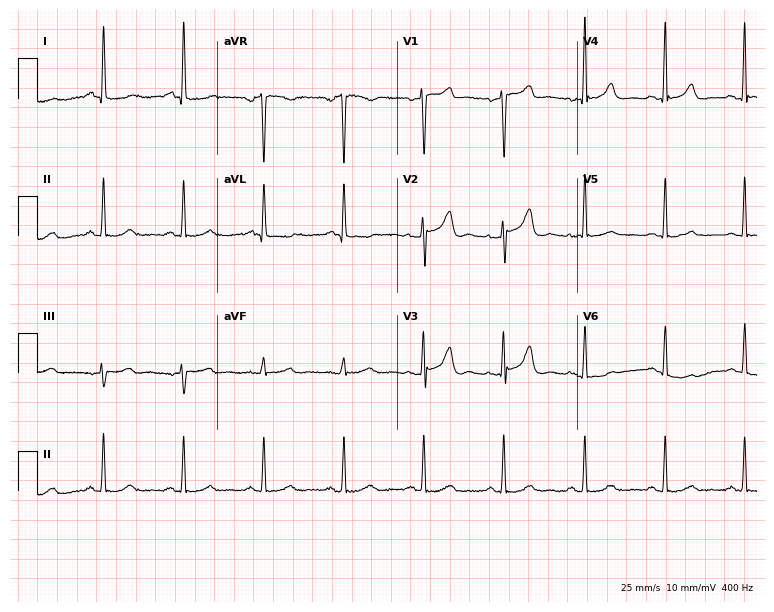
Standard 12-lead ECG recorded from a 62-year-old woman. Read as a normal ECG.